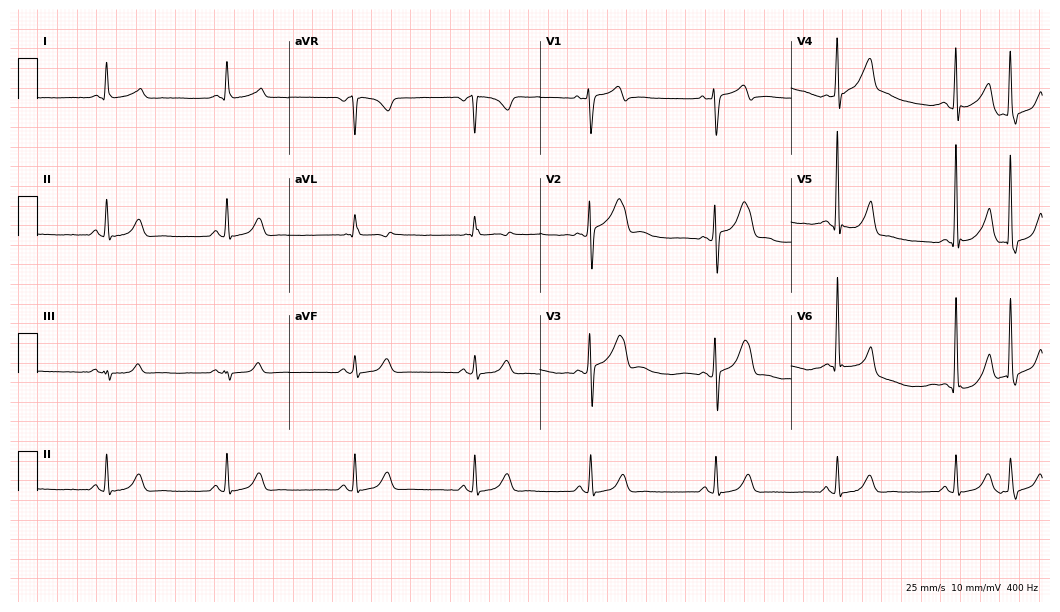
Resting 12-lead electrocardiogram (10.2-second recording at 400 Hz). Patient: a 51-year-old male. Read as a normal ECG.